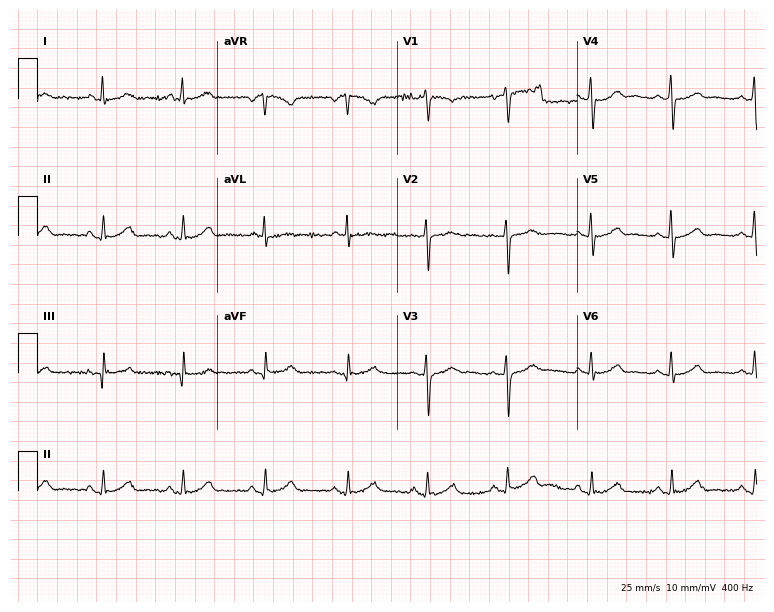
Resting 12-lead electrocardiogram. Patient: a 55-year-old female. Read as a normal ECG.